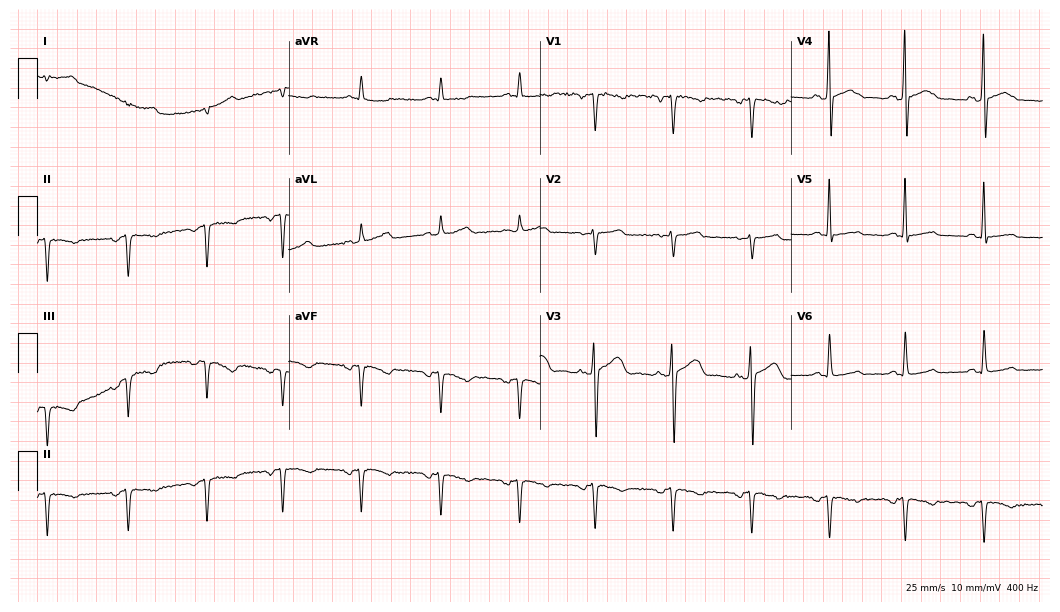
Electrocardiogram, a 33-year-old female. Of the six screened findings (first-degree AV block, right bundle branch block, left bundle branch block, sinus bradycardia, atrial fibrillation, sinus tachycardia), none is recorded.